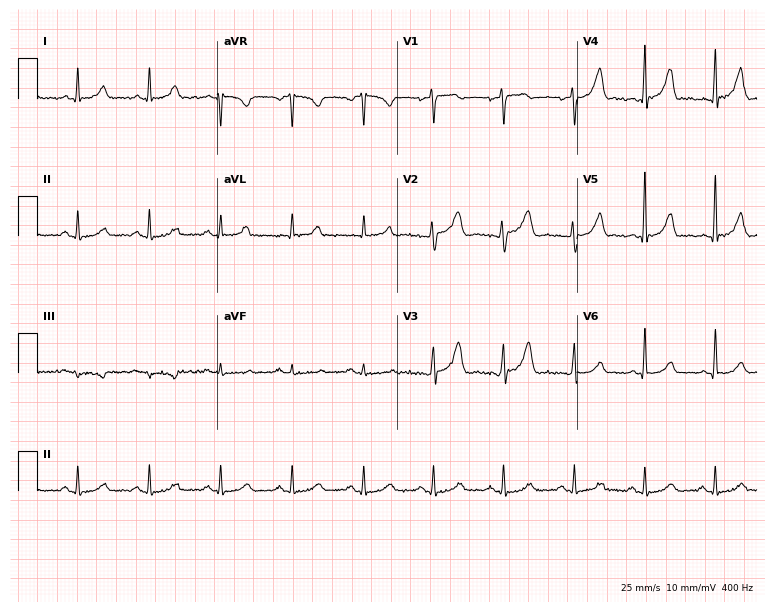
12-lead ECG (7.3-second recording at 400 Hz) from a female, 54 years old. Screened for six findings — first-degree AV block, right bundle branch block (RBBB), left bundle branch block (LBBB), sinus bradycardia, atrial fibrillation (AF), sinus tachycardia — none is recorded.